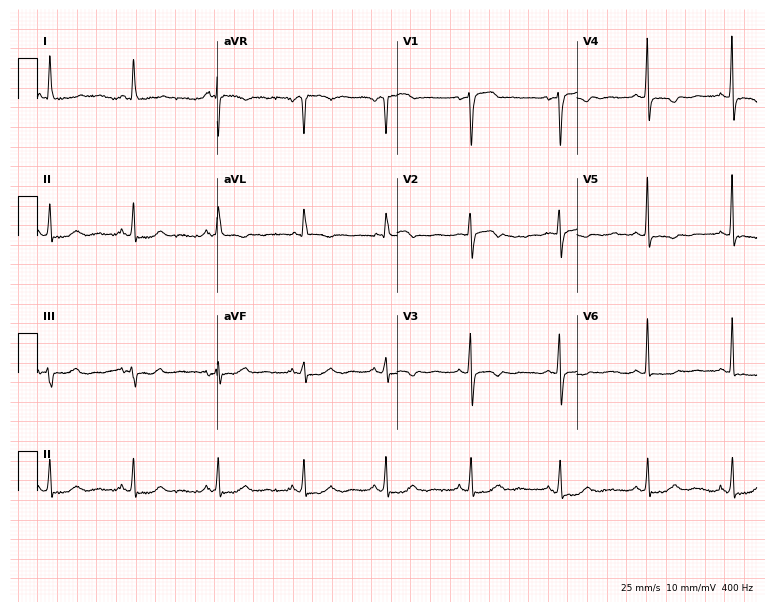
Resting 12-lead electrocardiogram. Patient: a female, 56 years old. None of these six findings is recorded: first-degree AV block, right bundle branch block, left bundle branch block, sinus bradycardia, atrial fibrillation, sinus tachycardia.